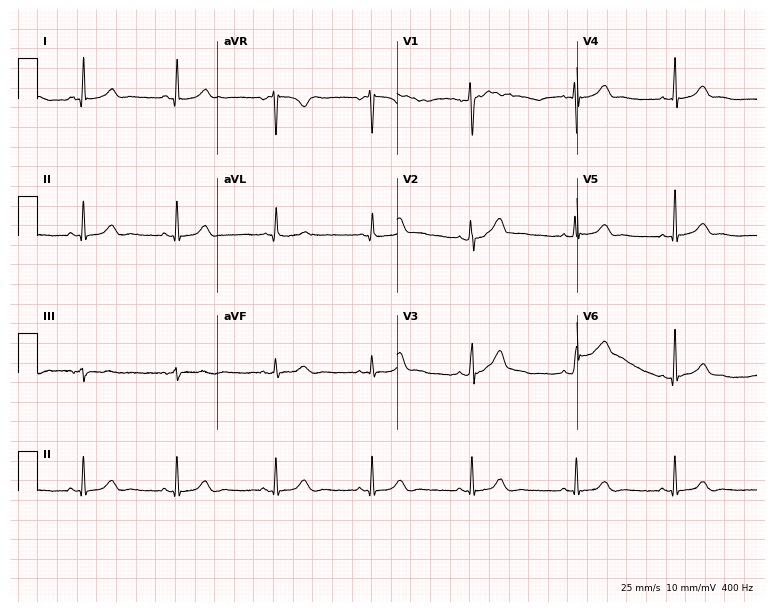
Standard 12-lead ECG recorded from a female patient, 45 years old. Read as a normal ECG.